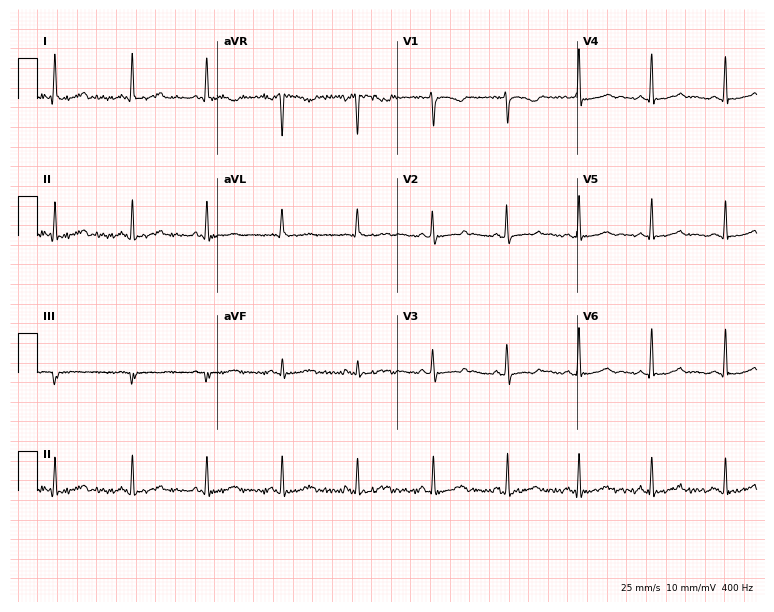
ECG (7.3-second recording at 400 Hz) — a 22-year-old female. Labelled as a normal ECG.